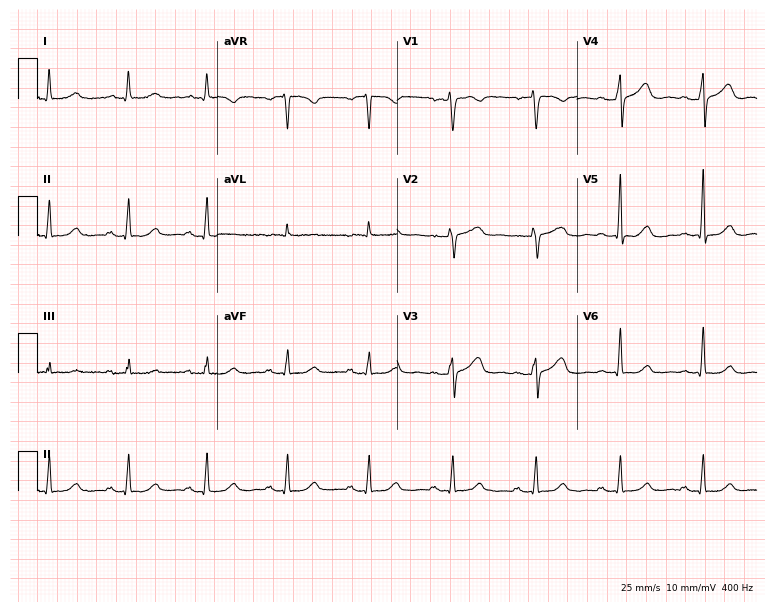
Standard 12-lead ECG recorded from a woman, 55 years old. None of these six findings is recorded: first-degree AV block, right bundle branch block, left bundle branch block, sinus bradycardia, atrial fibrillation, sinus tachycardia. Other findings, if any, are not listed.